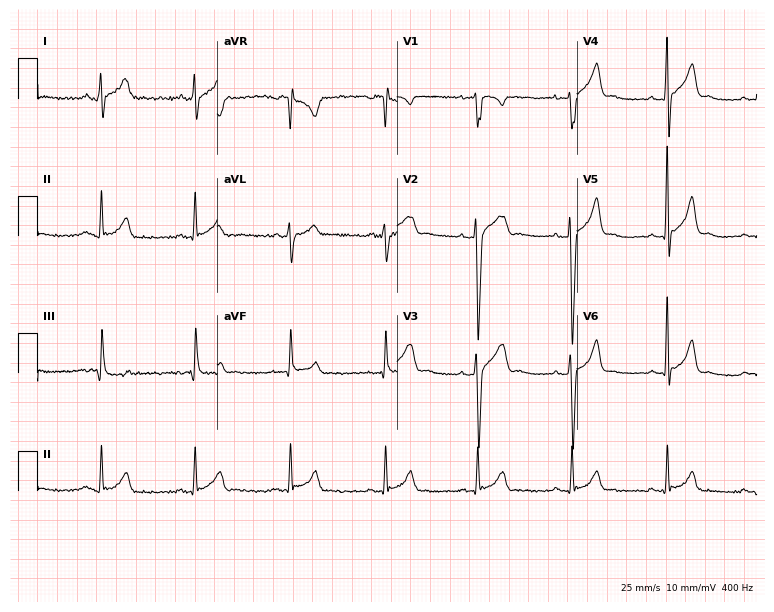
12-lead ECG from a male, 27 years old. Labelled as a normal ECG.